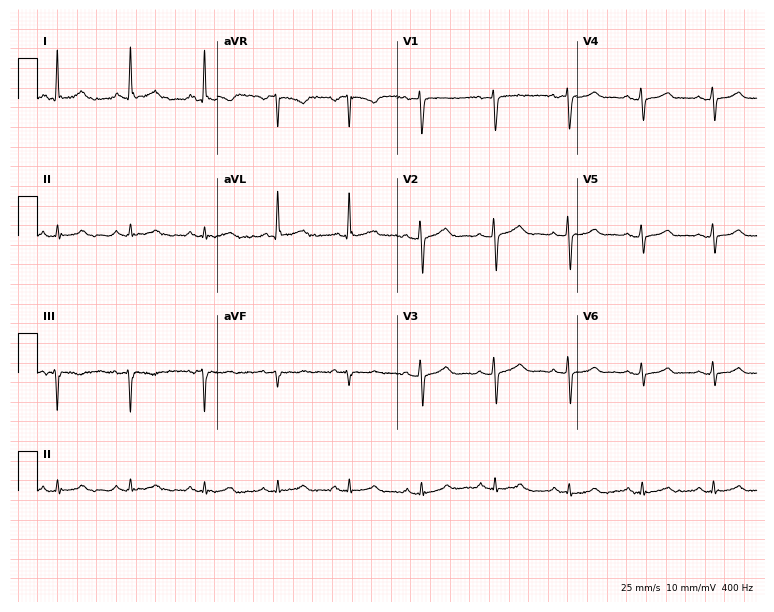
12-lead ECG (7.3-second recording at 400 Hz) from a 53-year-old woman. Screened for six findings — first-degree AV block, right bundle branch block (RBBB), left bundle branch block (LBBB), sinus bradycardia, atrial fibrillation (AF), sinus tachycardia — none is recorded.